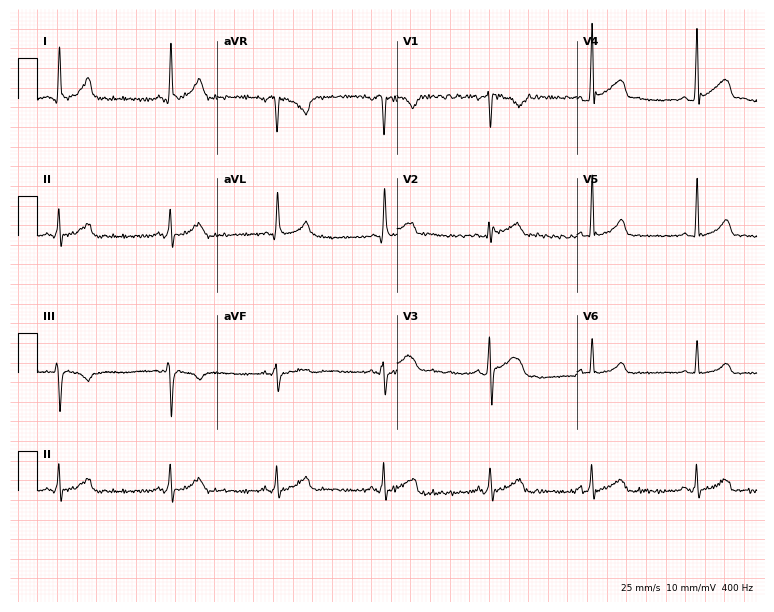
12-lead ECG (7.3-second recording at 400 Hz) from a man, 25 years old. Labelled as a normal ECG.